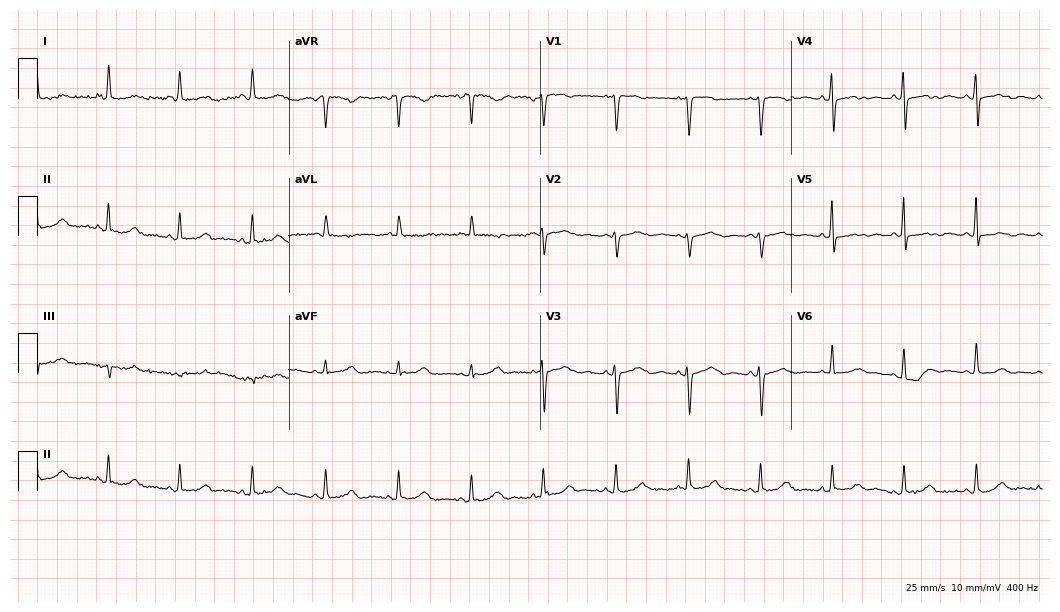
Standard 12-lead ECG recorded from a female, 62 years old. Read as a normal ECG.